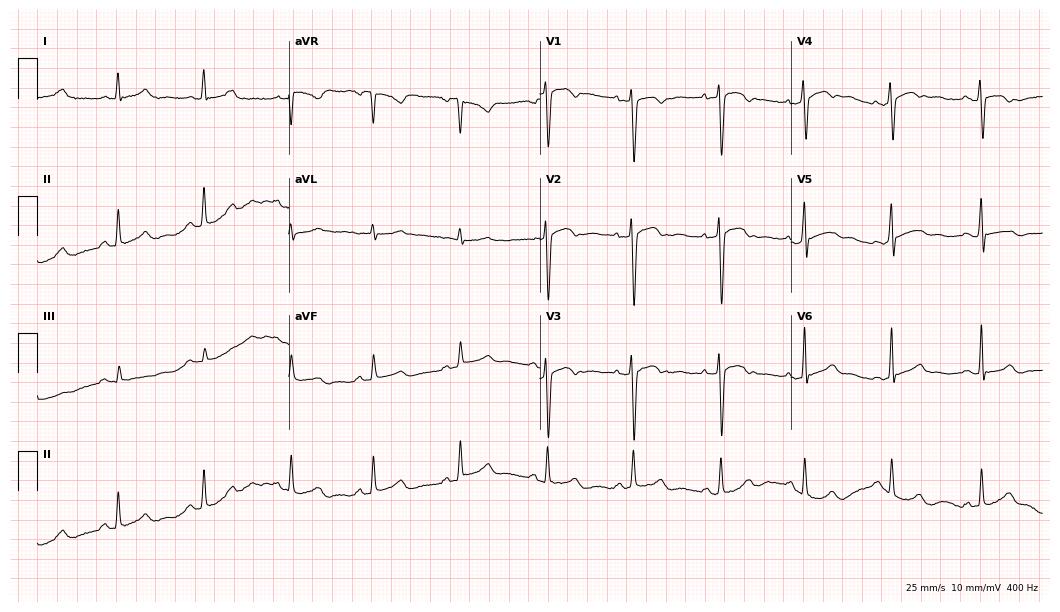
Standard 12-lead ECG recorded from a 30-year-old female patient. None of these six findings is recorded: first-degree AV block, right bundle branch block, left bundle branch block, sinus bradycardia, atrial fibrillation, sinus tachycardia. Other findings, if any, are not listed.